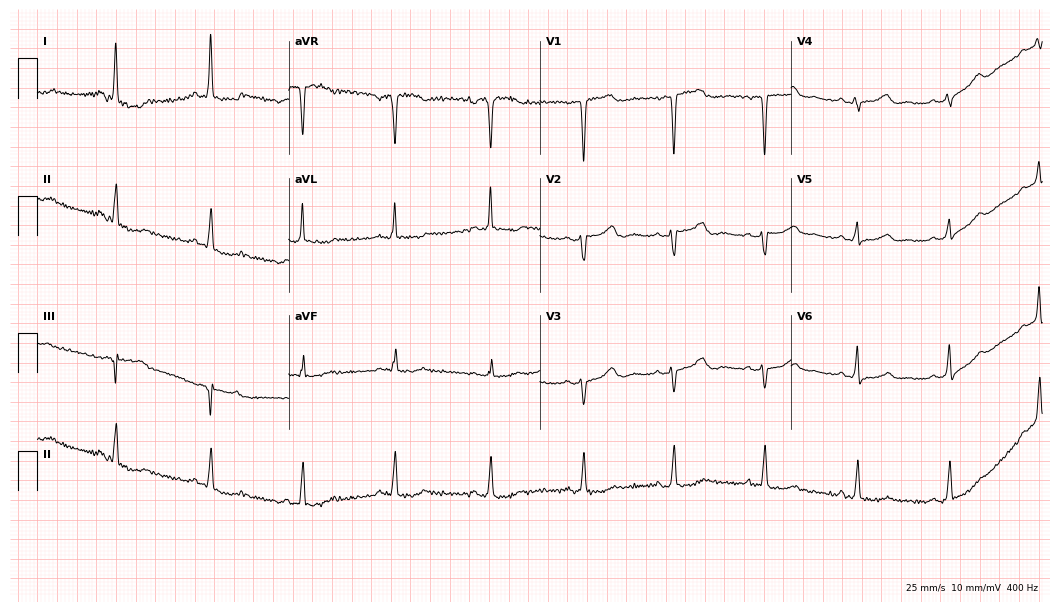
12-lead ECG from a 69-year-old woman (10.2-second recording at 400 Hz). No first-degree AV block, right bundle branch block, left bundle branch block, sinus bradycardia, atrial fibrillation or sinus tachycardia recorded for this tracing.